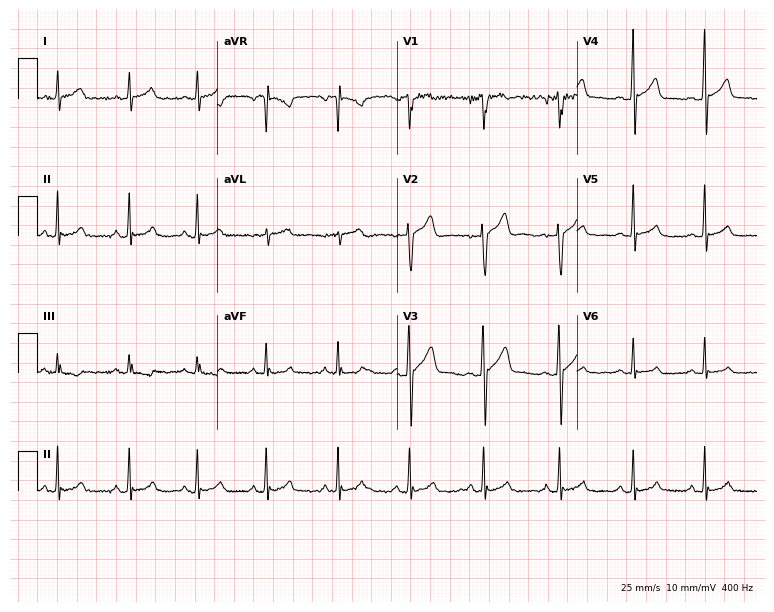
Resting 12-lead electrocardiogram. Patient: a male, 34 years old. Read as a normal ECG.